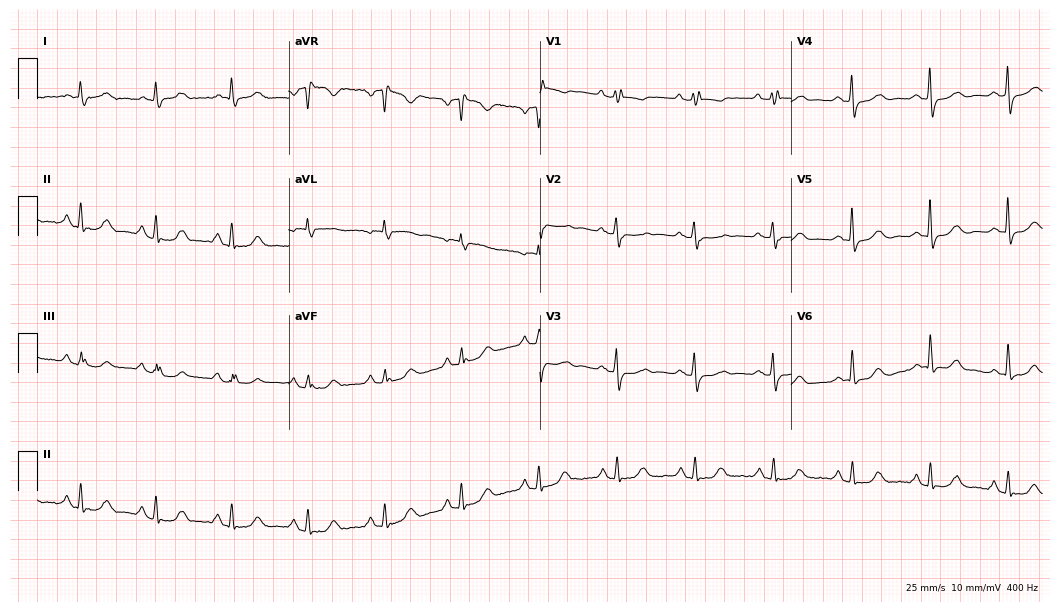
Standard 12-lead ECG recorded from an 83-year-old woman. None of these six findings is recorded: first-degree AV block, right bundle branch block, left bundle branch block, sinus bradycardia, atrial fibrillation, sinus tachycardia.